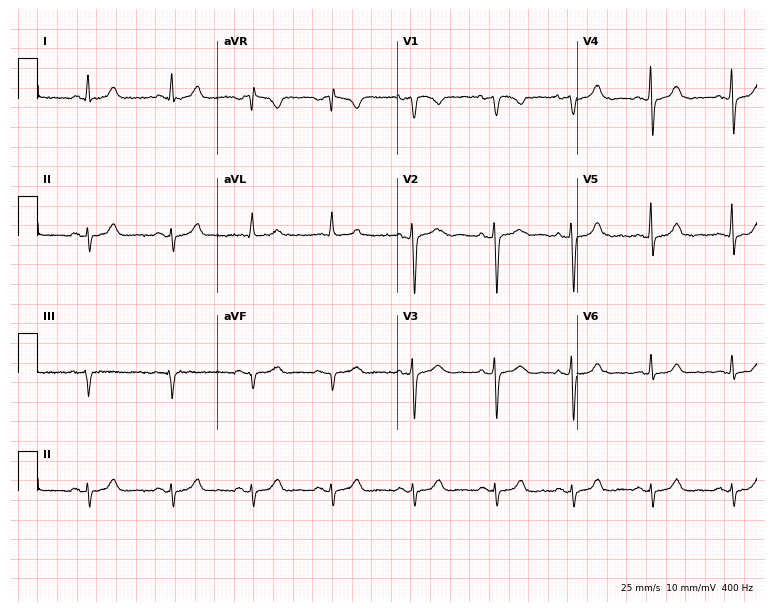
12-lead ECG from a 50-year-old female. Screened for six findings — first-degree AV block, right bundle branch block, left bundle branch block, sinus bradycardia, atrial fibrillation, sinus tachycardia — none is recorded. Findings outside these six are not listed.